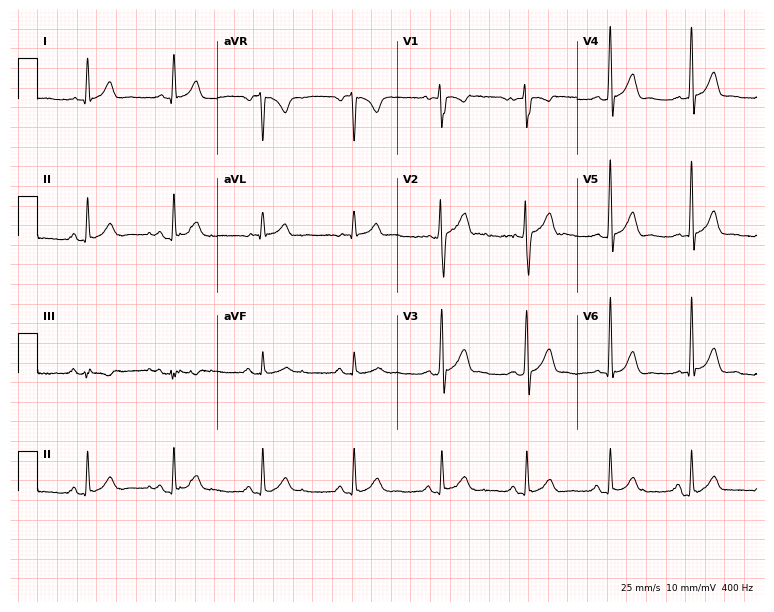
Standard 12-lead ECG recorded from a male, 23 years old (7.3-second recording at 400 Hz). Read as a normal ECG.